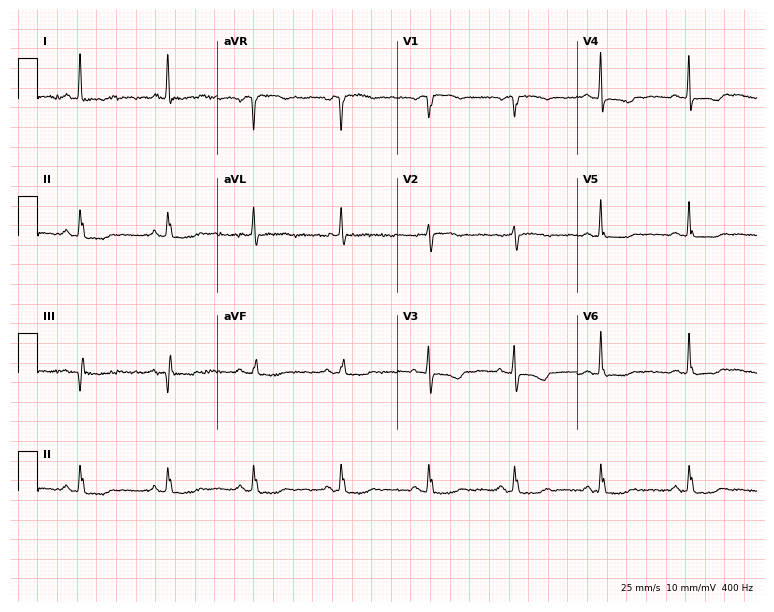
12-lead ECG (7.3-second recording at 400 Hz) from a 69-year-old woman. Screened for six findings — first-degree AV block, right bundle branch block, left bundle branch block, sinus bradycardia, atrial fibrillation, sinus tachycardia — none is recorded.